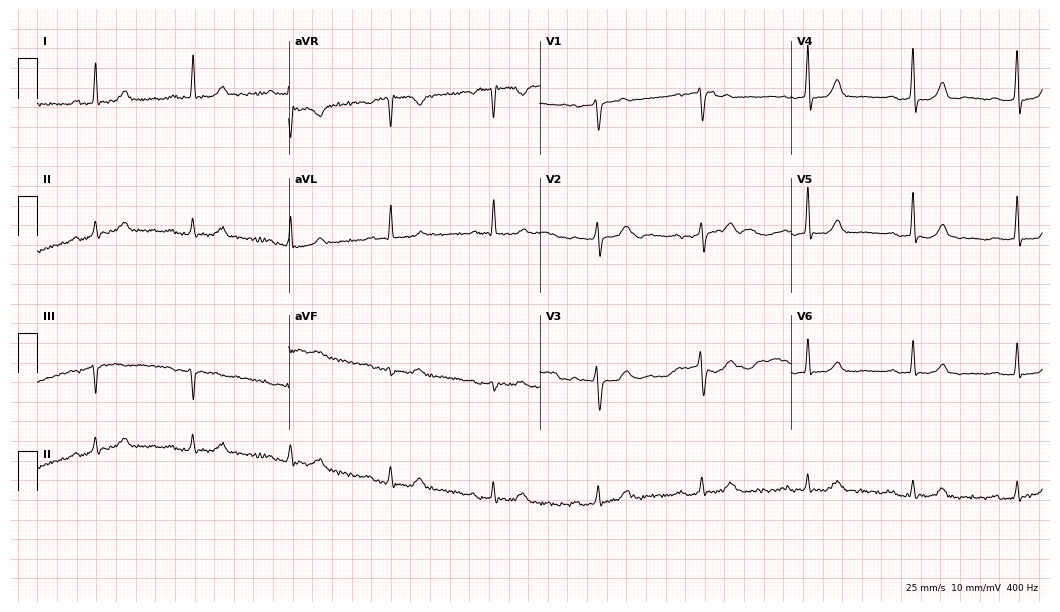
Electrocardiogram (10.2-second recording at 400 Hz), a 71-year-old male patient. Overall reading on record: normal ECG.